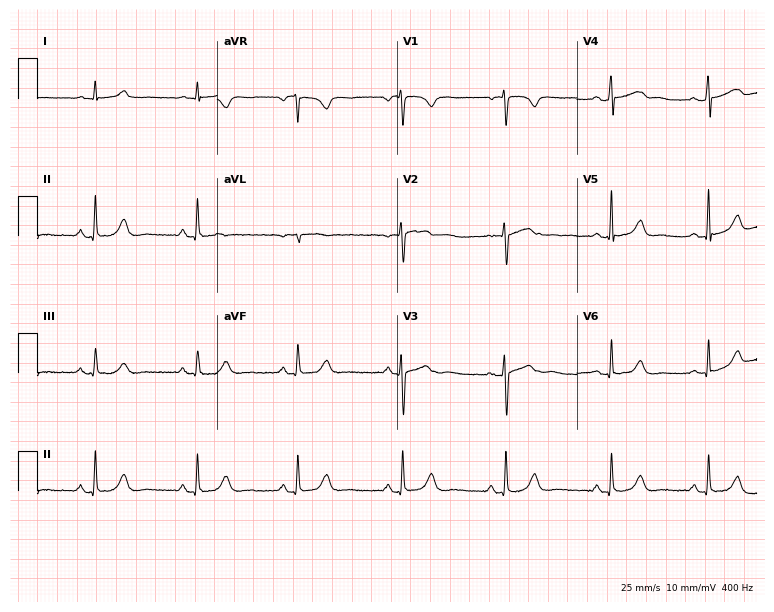
12-lead ECG from a female patient, 49 years old (7.3-second recording at 400 Hz). Recorded interpretation: within normal limits.